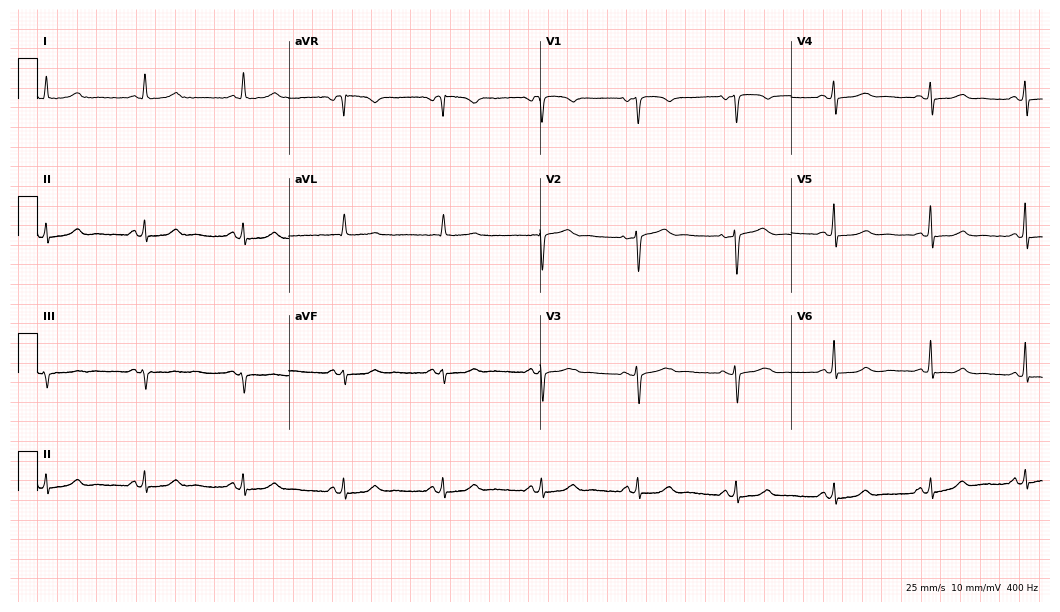
Standard 12-lead ECG recorded from a woman, 68 years old (10.2-second recording at 400 Hz). Read as a normal ECG.